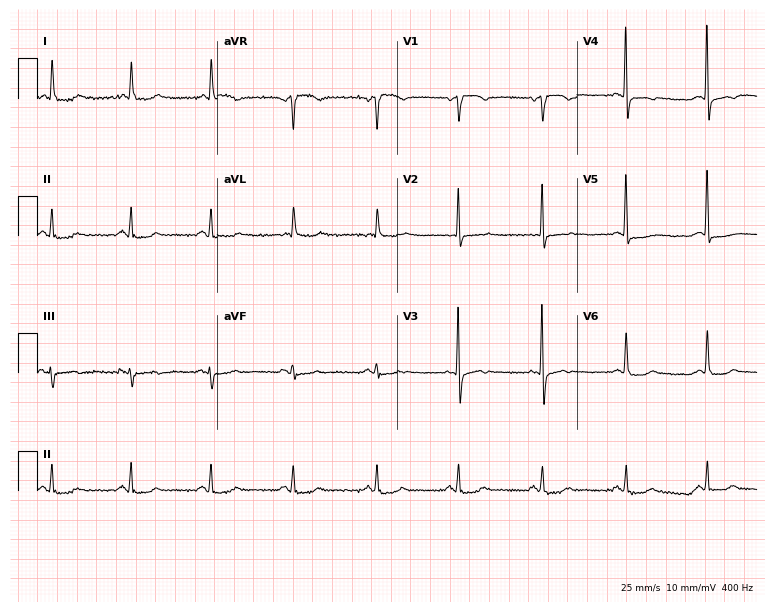
Resting 12-lead electrocardiogram. Patient: a female, 84 years old. None of these six findings is recorded: first-degree AV block, right bundle branch block (RBBB), left bundle branch block (LBBB), sinus bradycardia, atrial fibrillation (AF), sinus tachycardia. Other findings, if any, are not listed.